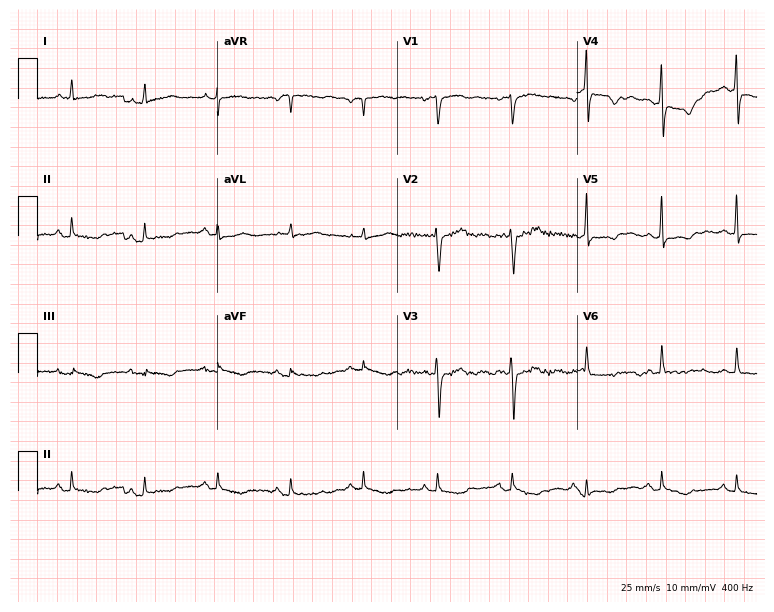
Electrocardiogram (7.3-second recording at 400 Hz), a woman, 65 years old. Of the six screened findings (first-degree AV block, right bundle branch block, left bundle branch block, sinus bradycardia, atrial fibrillation, sinus tachycardia), none is recorded. Other findings, if any, are not listed.